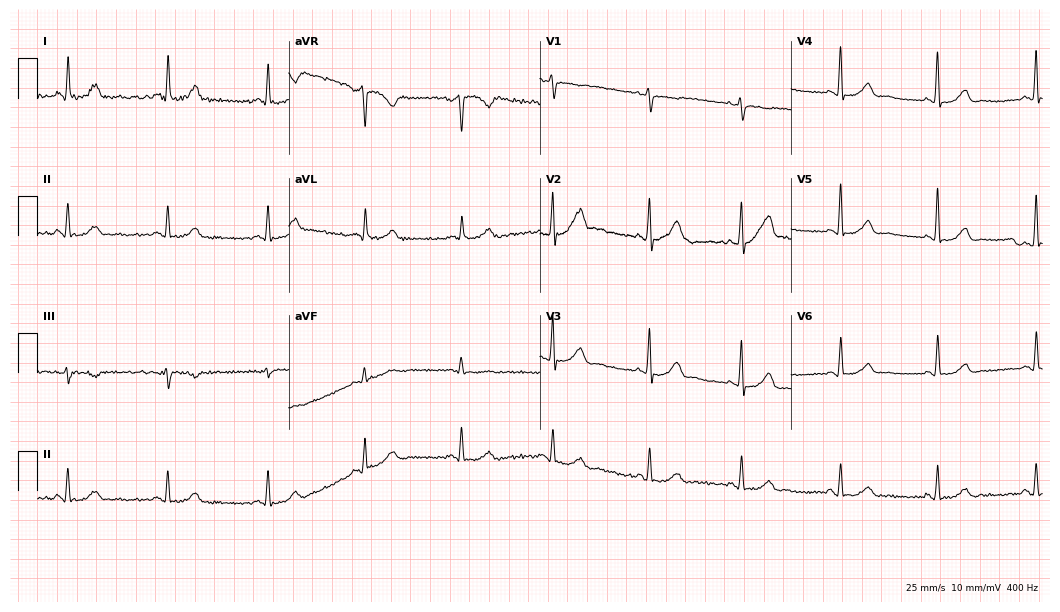
Resting 12-lead electrocardiogram (10.2-second recording at 400 Hz). Patient: a female, 41 years old. None of these six findings is recorded: first-degree AV block, right bundle branch block, left bundle branch block, sinus bradycardia, atrial fibrillation, sinus tachycardia. Findings outside these six are not listed.